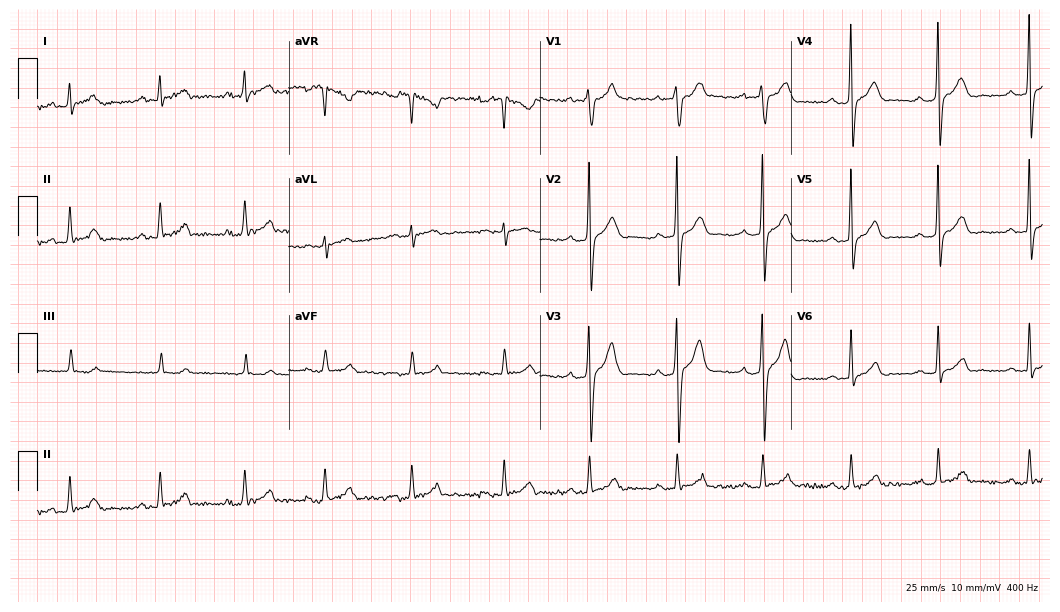
Standard 12-lead ECG recorded from a 28-year-old male (10.2-second recording at 400 Hz). None of these six findings is recorded: first-degree AV block, right bundle branch block, left bundle branch block, sinus bradycardia, atrial fibrillation, sinus tachycardia. Other findings, if any, are not listed.